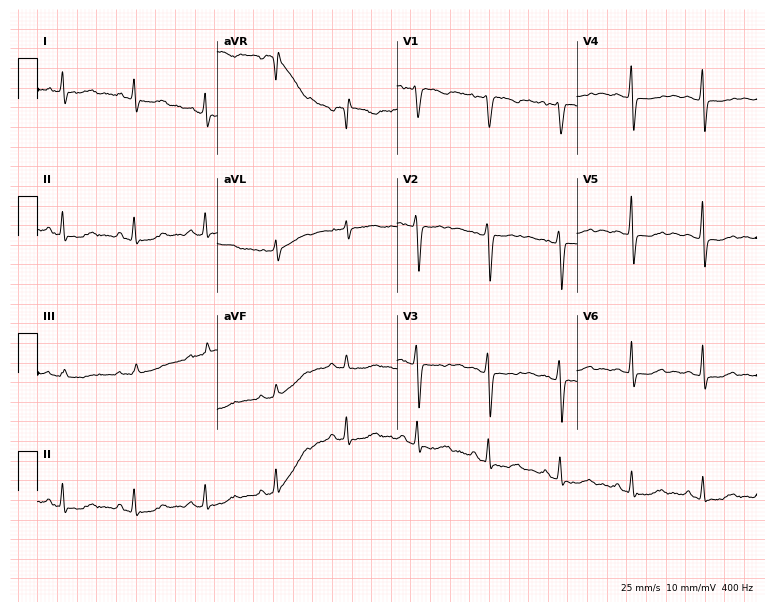
12-lead ECG from a female, 46 years old. Screened for six findings — first-degree AV block, right bundle branch block (RBBB), left bundle branch block (LBBB), sinus bradycardia, atrial fibrillation (AF), sinus tachycardia — none is recorded.